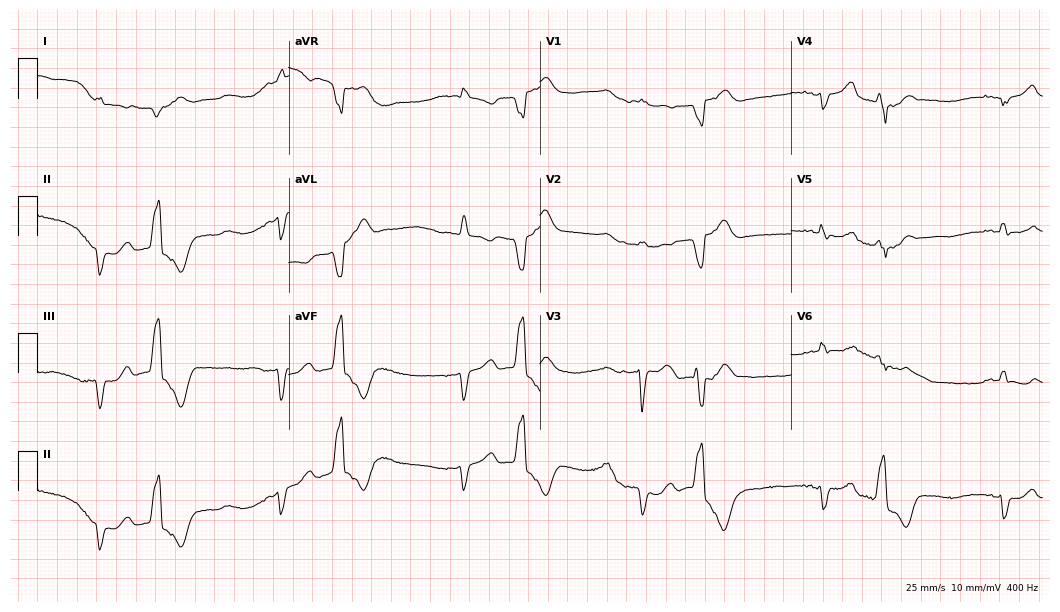
ECG — a male, 73 years old. Findings include right bundle branch block.